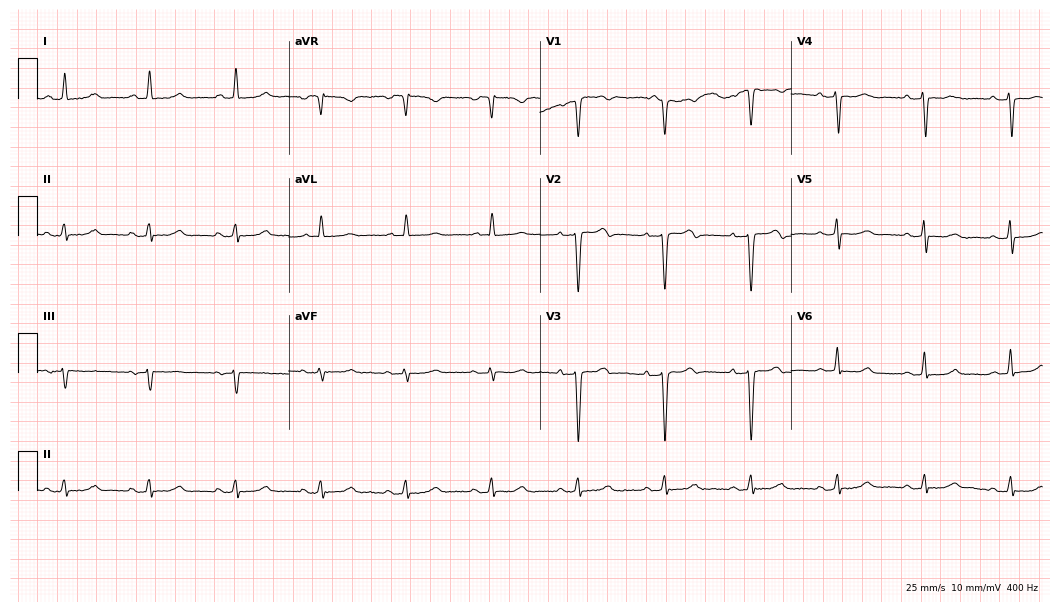
Resting 12-lead electrocardiogram. Patient: a 58-year-old female. None of these six findings is recorded: first-degree AV block, right bundle branch block, left bundle branch block, sinus bradycardia, atrial fibrillation, sinus tachycardia. Only these six findings were labelled.